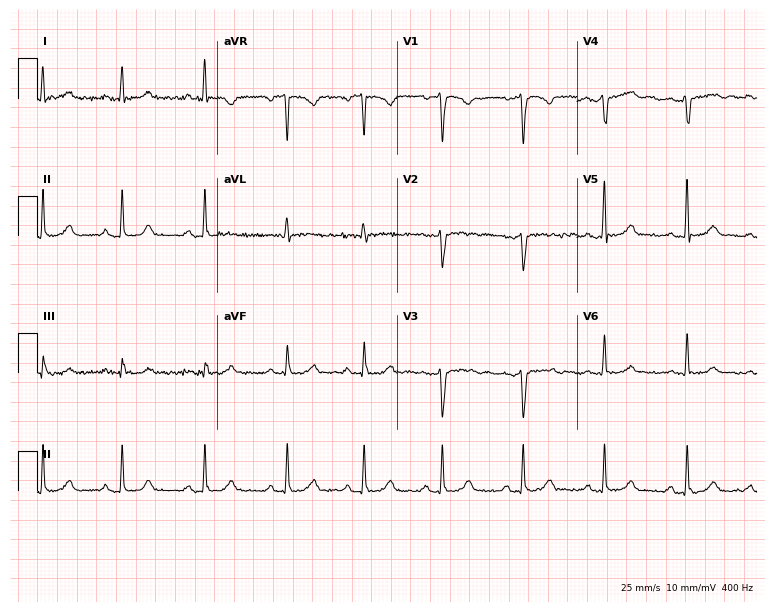
12-lead ECG (7.3-second recording at 400 Hz) from a 29-year-old female patient. Labelled as a normal ECG.